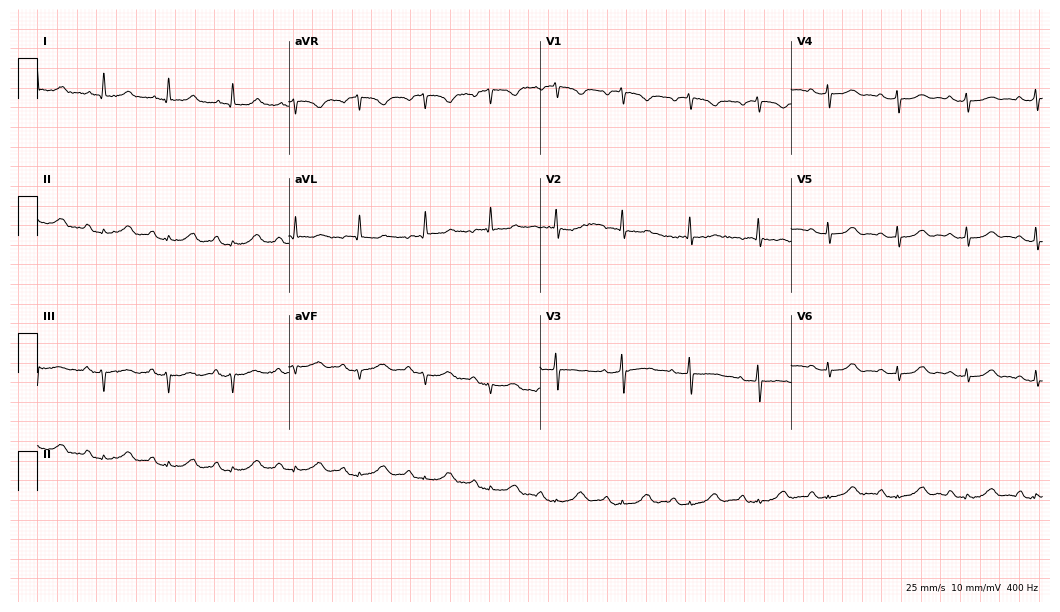
12-lead ECG from a 75-year-old female patient (10.2-second recording at 400 Hz). No first-degree AV block, right bundle branch block (RBBB), left bundle branch block (LBBB), sinus bradycardia, atrial fibrillation (AF) or sinus tachycardia recorded for this tracing.